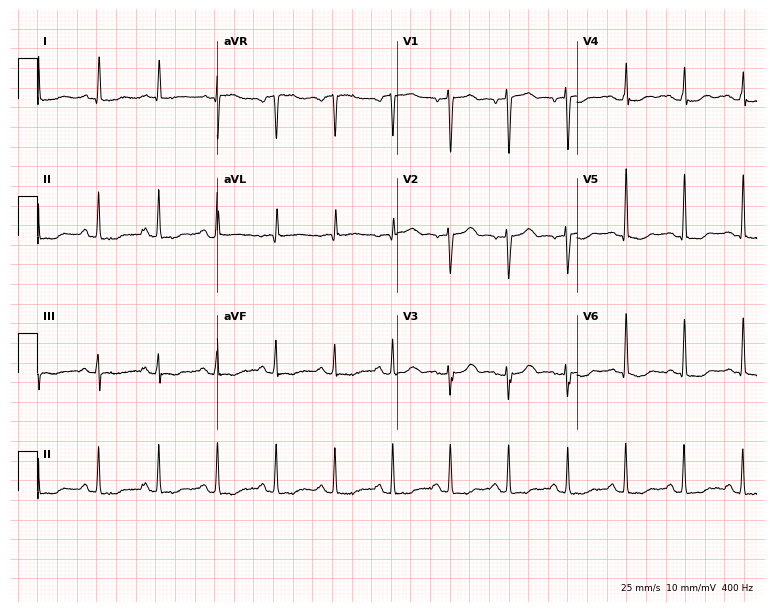
12-lead ECG from a female patient, 48 years old. Shows sinus tachycardia (a sinus rate of 100 beats per minute or more).